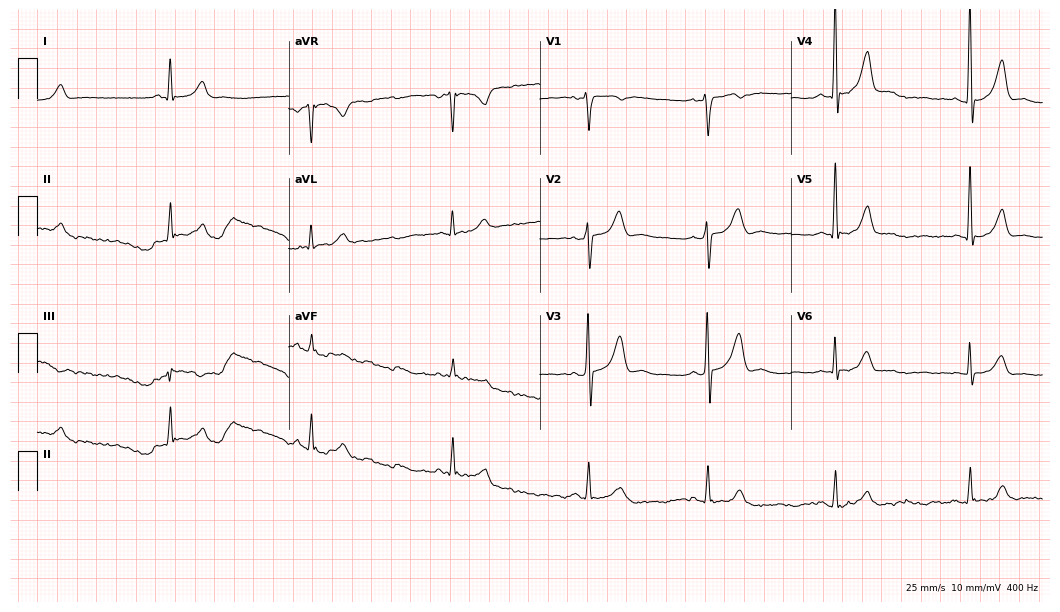
12-lead ECG from a 59-year-old male patient. No first-degree AV block, right bundle branch block (RBBB), left bundle branch block (LBBB), sinus bradycardia, atrial fibrillation (AF) or sinus tachycardia recorded for this tracing. Only these six findings were labelled.